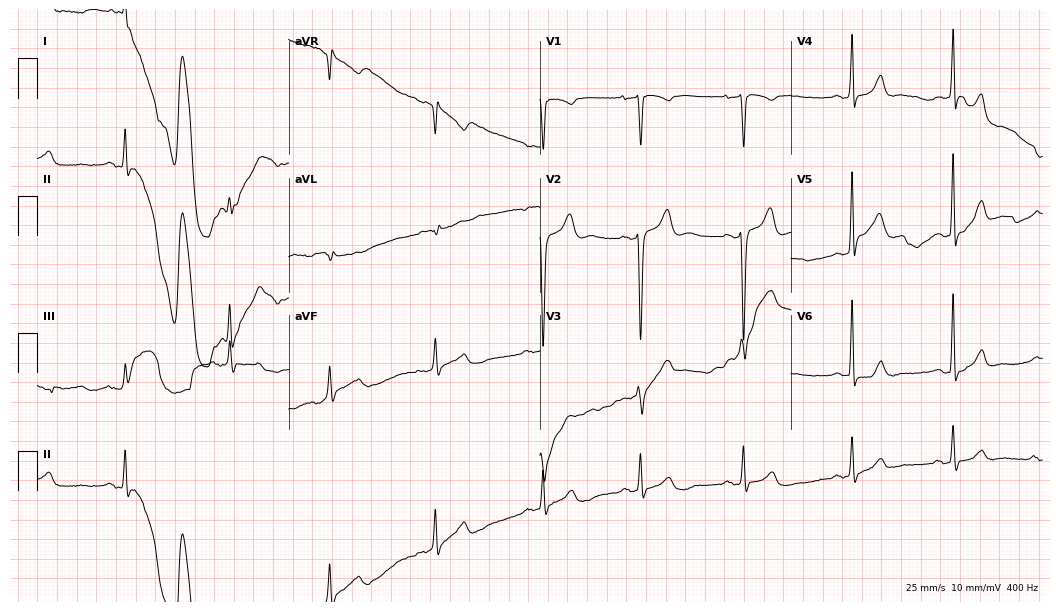
Electrocardiogram, a male, 41 years old. Of the six screened findings (first-degree AV block, right bundle branch block, left bundle branch block, sinus bradycardia, atrial fibrillation, sinus tachycardia), none is recorded. Findings outside these six are not listed.